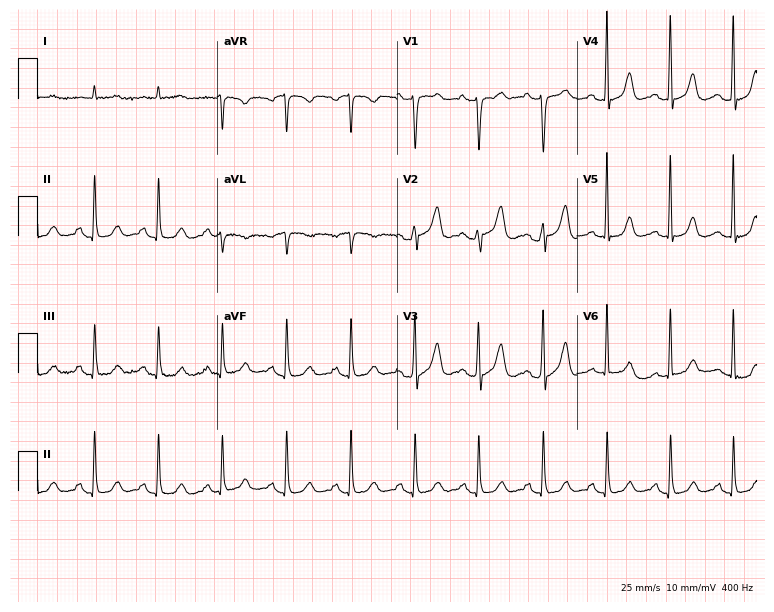
Electrocardiogram (7.3-second recording at 400 Hz), a male patient, 75 years old. Overall reading on record: normal ECG.